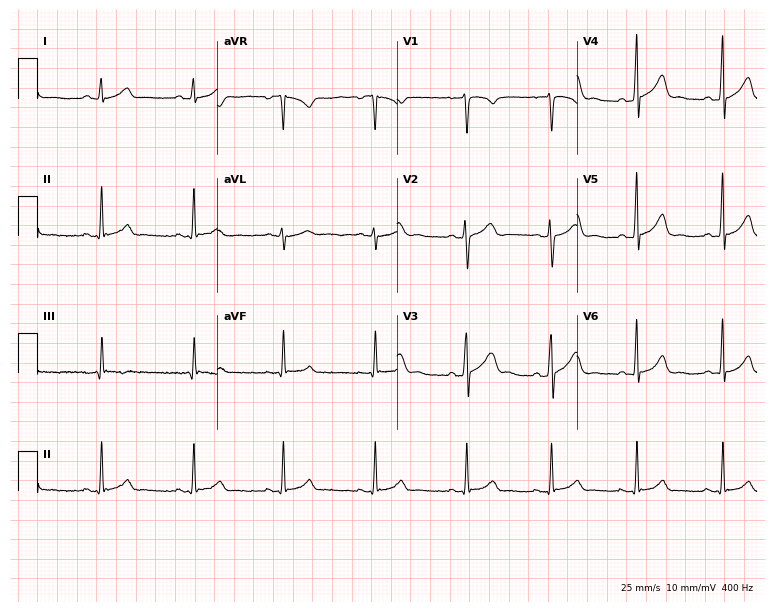
Standard 12-lead ECG recorded from a male patient, 20 years old. None of these six findings is recorded: first-degree AV block, right bundle branch block, left bundle branch block, sinus bradycardia, atrial fibrillation, sinus tachycardia. Other findings, if any, are not listed.